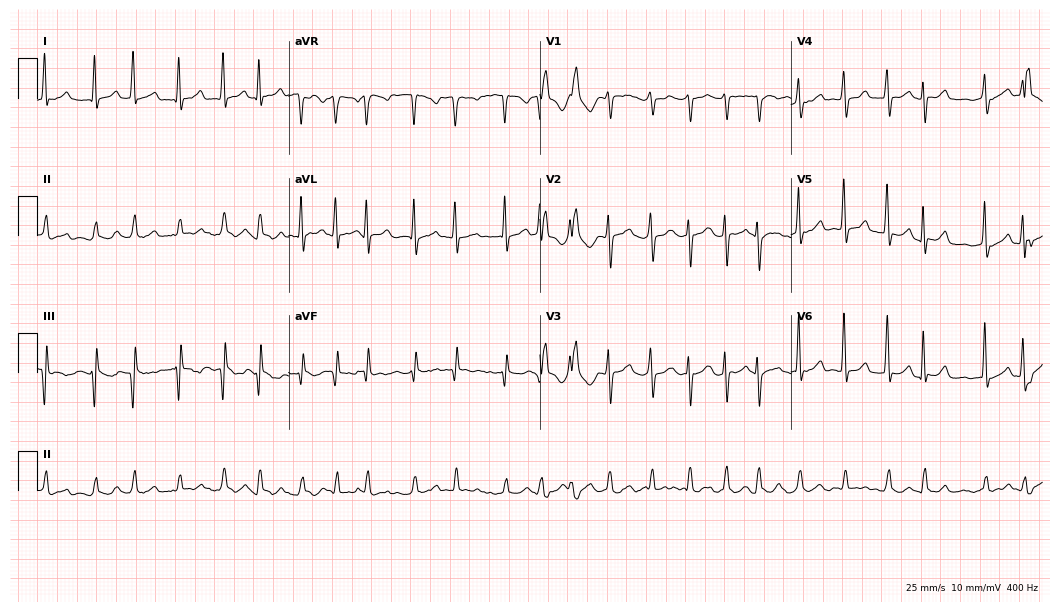
Resting 12-lead electrocardiogram (10.2-second recording at 400 Hz). Patient: a 53-year-old woman. None of these six findings is recorded: first-degree AV block, right bundle branch block (RBBB), left bundle branch block (LBBB), sinus bradycardia, atrial fibrillation (AF), sinus tachycardia.